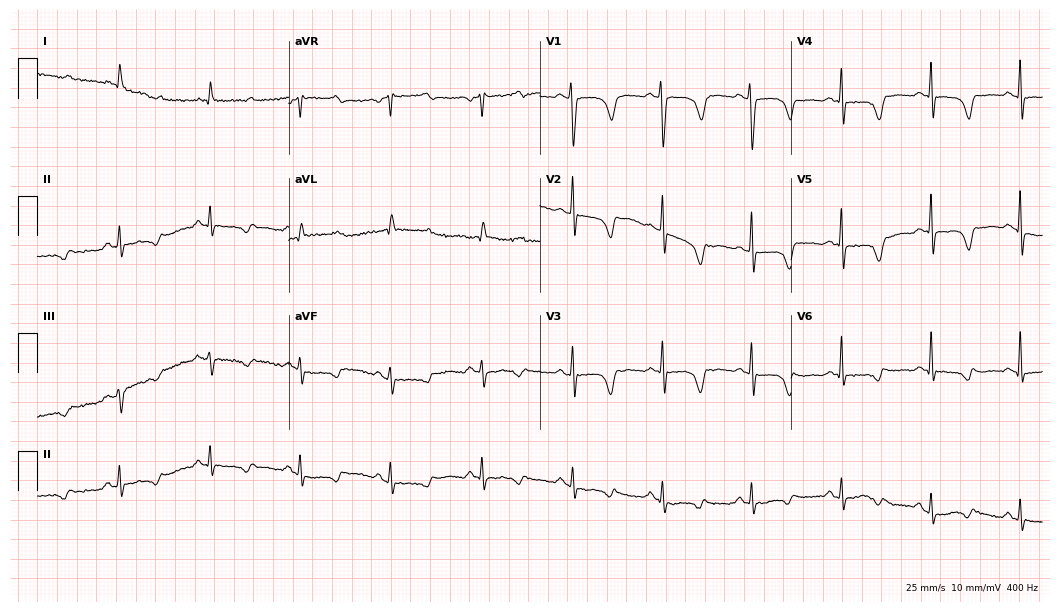
12-lead ECG from a 64-year-old woman. No first-degree AV block, right bundle branch block, left bundle branch block, sinus bradycardia, atrial fibrillation or sinus tachycardia recorded for this tracing.